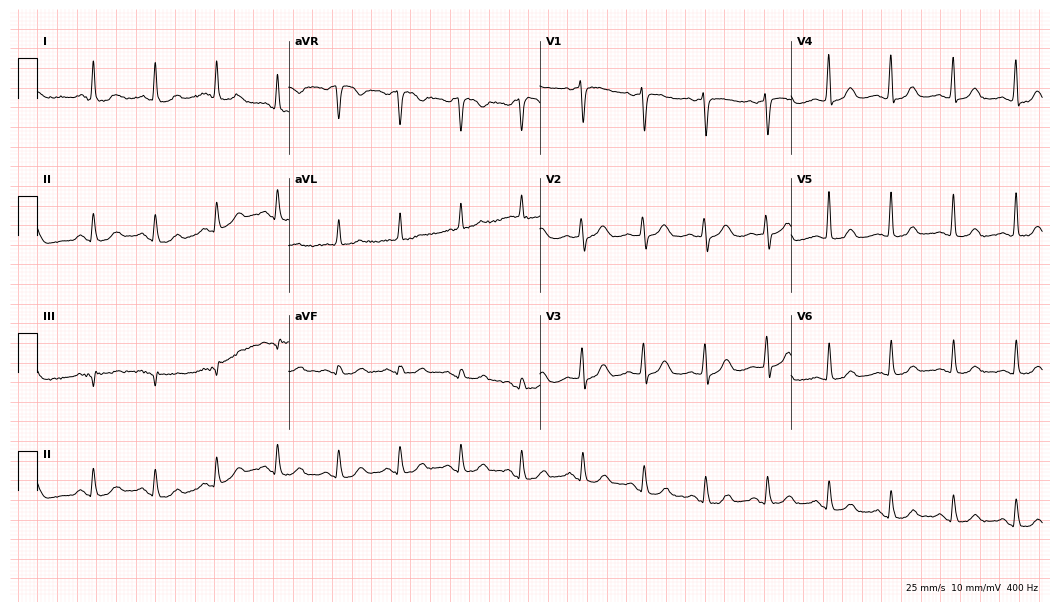
Standard 12-lead ECG recorded from an 84-year-old female patient. None of these six findings is recorded: first-degree AV block, right bundle branch block, left bundle branch block, sinus bradycardia, atrial fibrillation, sinus tachycardia. Other findings, if any, are not listed.